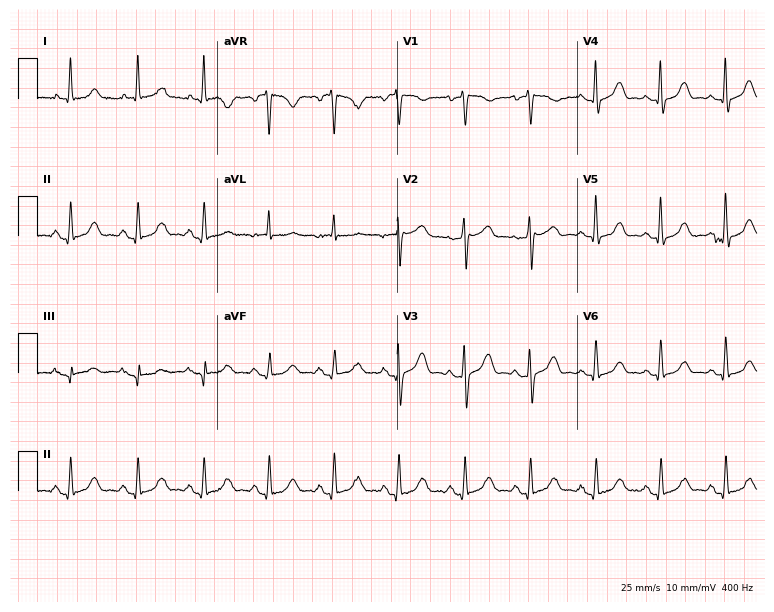
12-lead ECG from a female, 71 years old. Recorded interpretation: within normal limits.